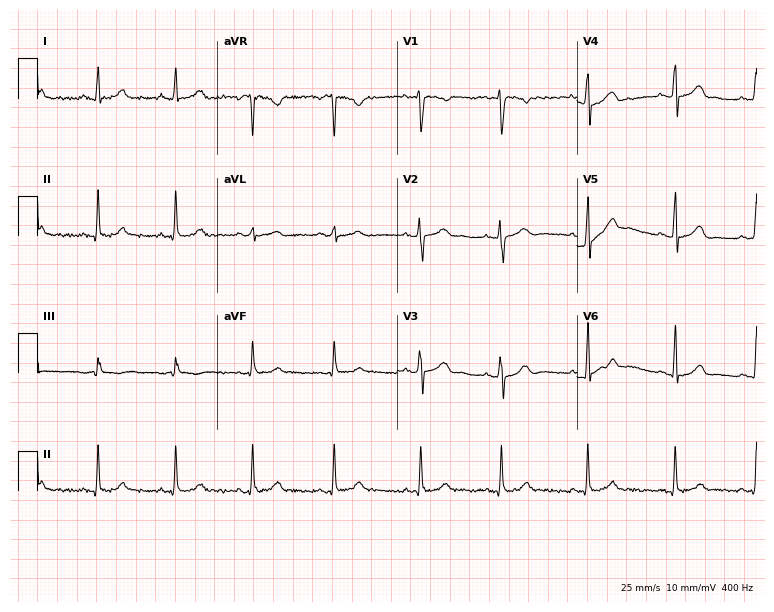
Resting 12-lead electrocardiogram. Patient: a female, 29 years old. Read as a normal ECG.